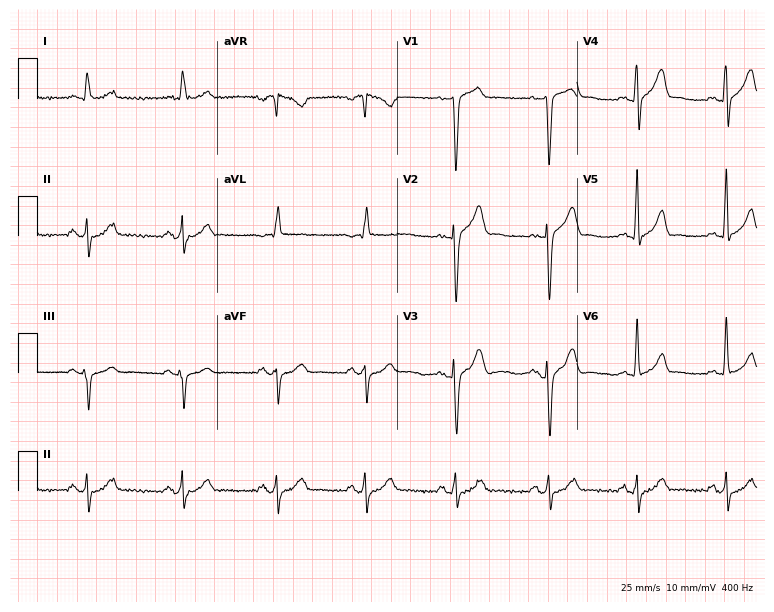
ECG (7.3-second recording at 400 Hz) — a man, 51 years old. Screened for six findings — first-degree AV block, right bundle branch block, left bundle branch block, sinus bradycardia, atrial fibrillation, sinus tachycardia — none is recorded. Only these six findings were labelled.